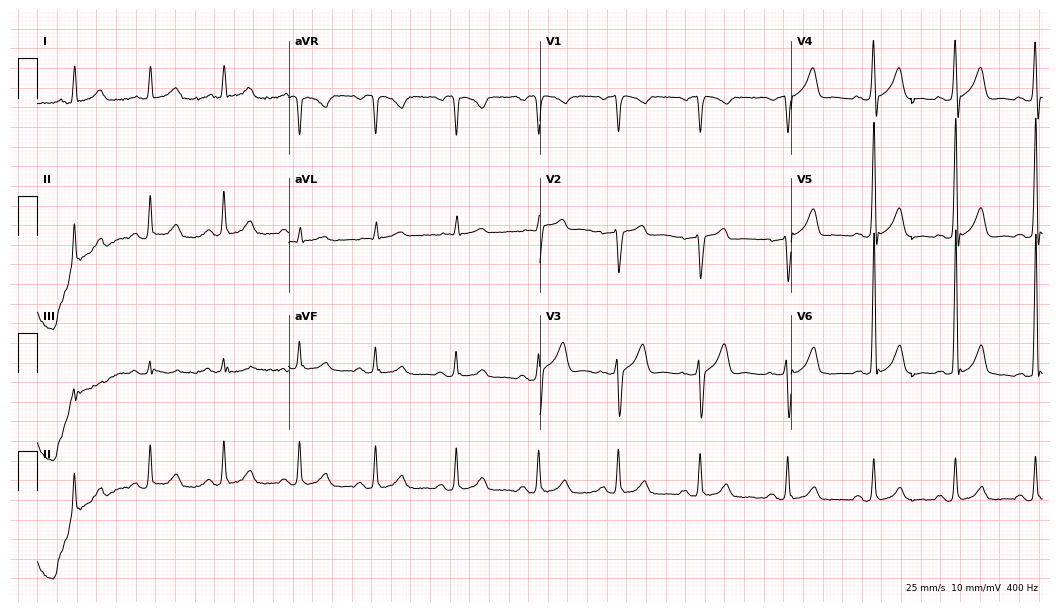
12-lead ECG from a male, 58 years old (10.2-second recording at 400 Hz). No first-degree AV block, right bundle branch block (RBBB), left bundle branch block (LBBB), sinus bradycardia, atrial fibrillation (AF) or sinus tachycardia recorded for this tracing.